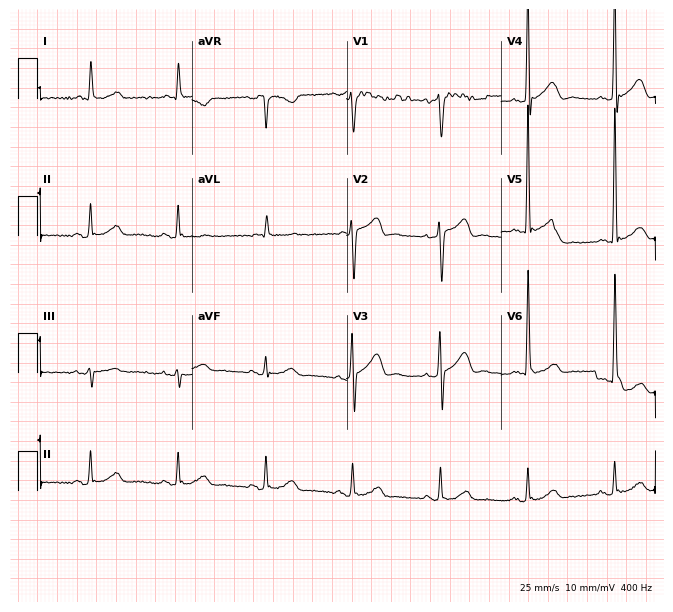
ECG (6.3-second recording at 400 Hz) — a 77-year-old male. Screened for six findings — first-degree AV block, right bundle branch block (RBBB), left bundle branch block (LBBB), sinus bradycardia, atrial fibrillation (AF), sinus tachycardia — none is recorded. Findings outside these six are not listed.